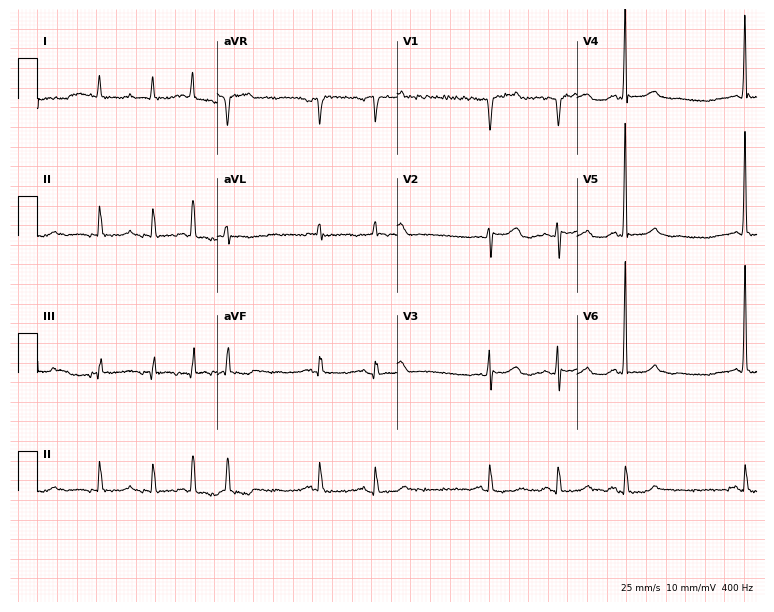
Standard 12-lead ECG recorded from an 84-year-old male. None of these six findings is recorded: first-degree AV block, right bundle branch block, left bundle branch block, sinus bradycardia, atrial fibrillation, sinus tachycardia. Findings outside these six are not listed.